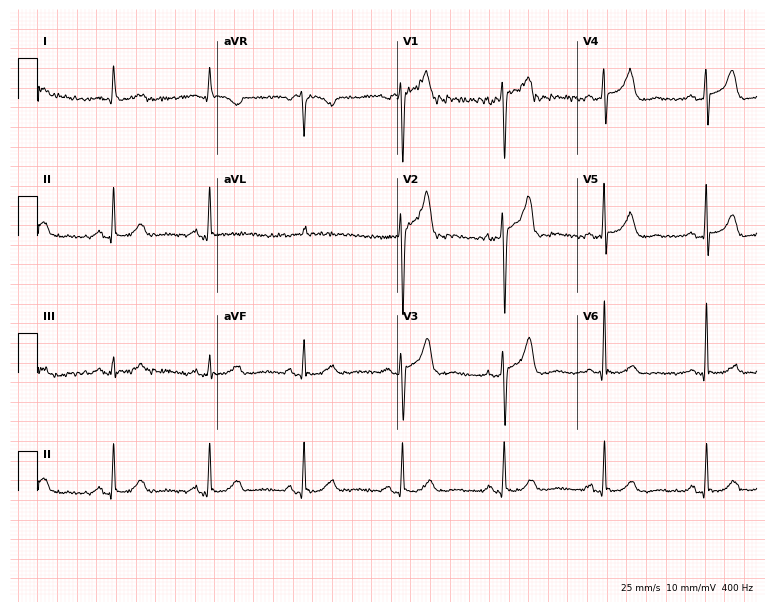
Standard 12-lead ECG recorded from a 73-year-old man (7.3-second recording at 400 Hz). None of these six findings is recorded: first-degree AV block, right bundle branch block, left bundle branch block, sinus bradycardia, atrial fibrillation, sinus tachycardia. Only these six findings were labelled.